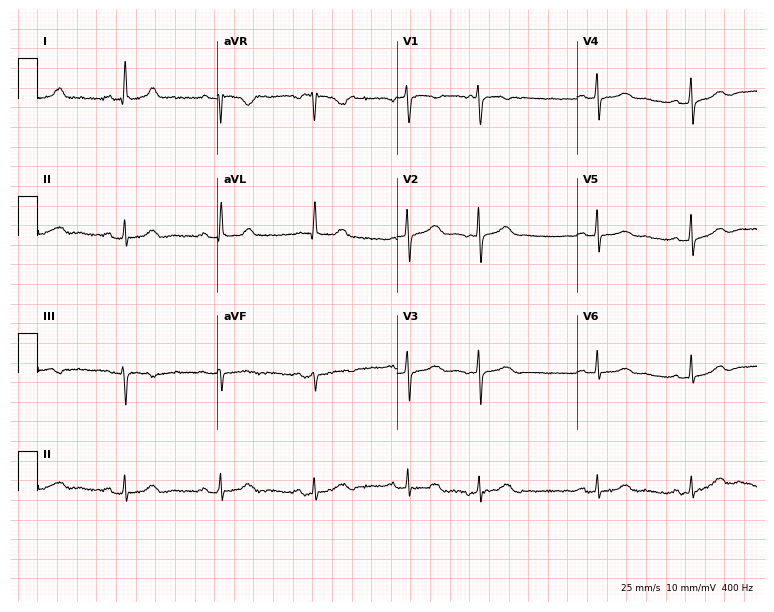
12-lead ECG from a female, 45 years old (7.3-second recording at 400 Hz). No first-degree AV block, right bundle branch block, left bundle branch block, sinus bradycardia, atrial fibrillation or sinus tachycardia recorded for this tracing.